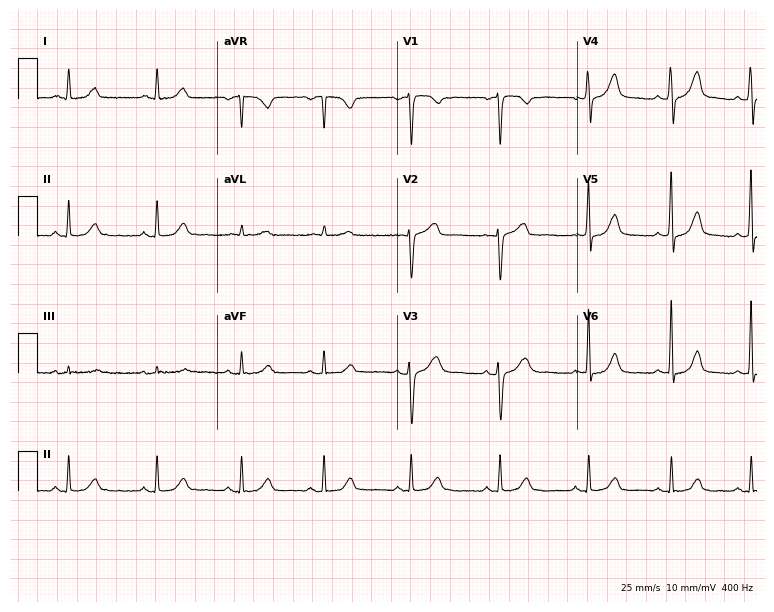
Resting 12-lead electrocardiogram (7.3-second recording at 400 Hz). Patient: a 48-year-old woman. Read as a normal ECG.